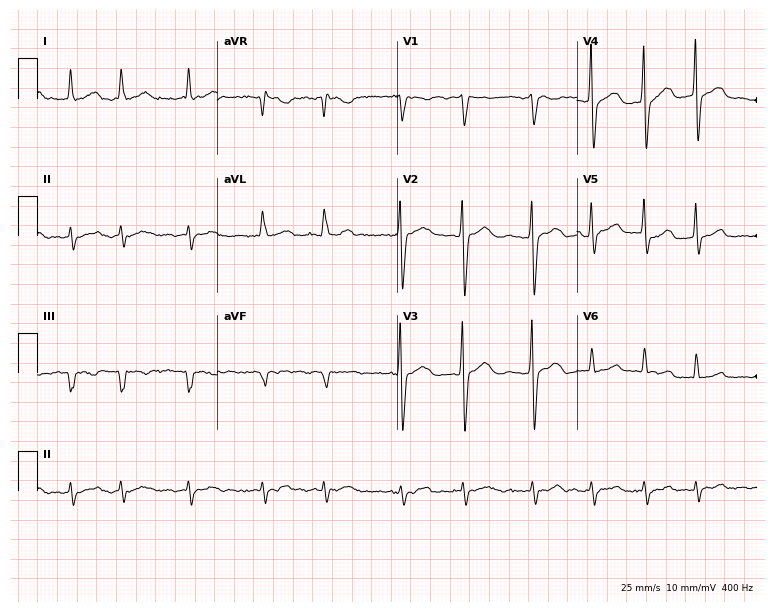
Electrocardiogram, a 74-year-old male patient. Interpretation includes atrial fibrillation (AF).